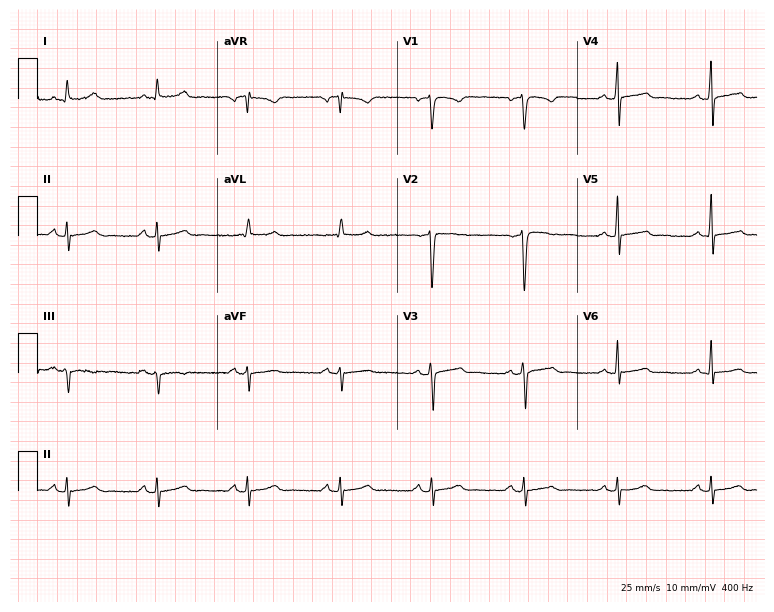
12-lead ECG from a 49-year-old male. Screened for six findings — first-degree AV block, right bundle branch block, left bundle branch block, sinus bradycardia, atrial fibrillation, sinus tachycardia — none is recorded.